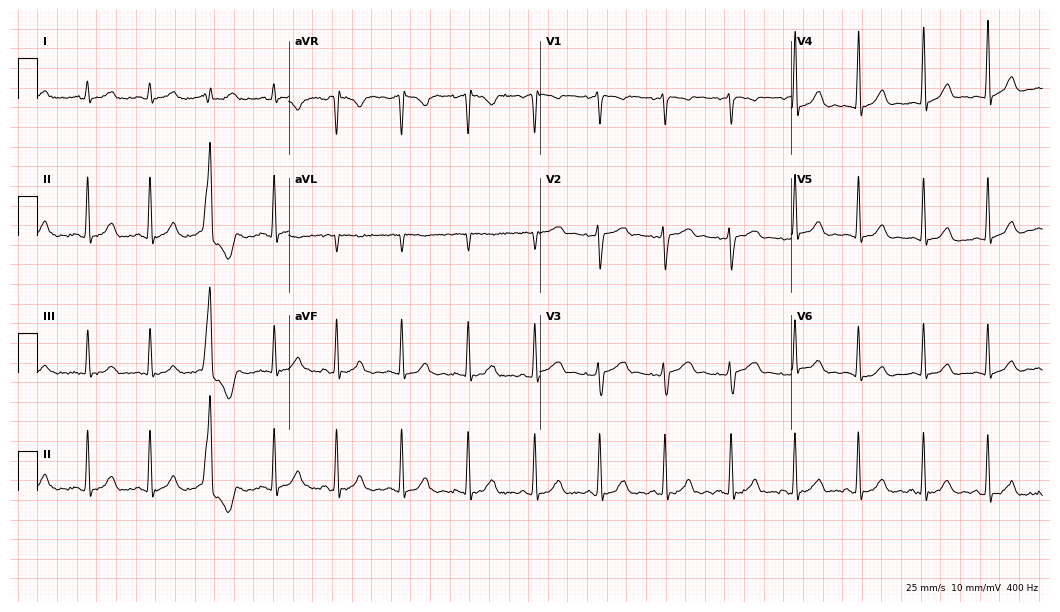
Electrocardiogram (10.2-second recording at 400 Hz), a 35-year-old woman. Overall reading on record: normal ECG.